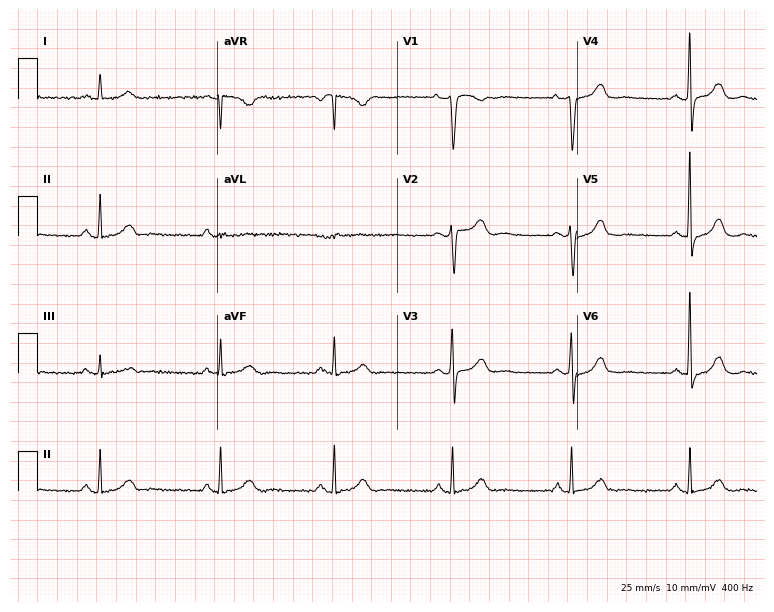
Resting 12-lead electrocardiogram. Patient: a female, 61 years old. None of these six findings is recorded: first-degree AV block, right bundle branch block (RBBB), left bundle branch block (LBBB), sinus bradycardia, atrial fibrillation (AF), sinus tachycardia.